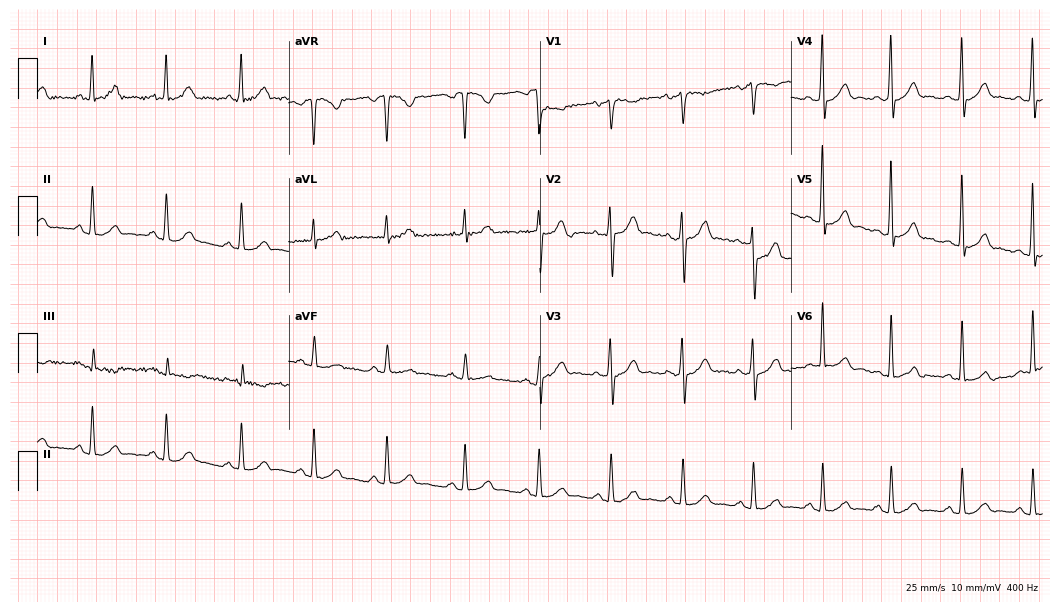
Resting 12-lead electrocardiogram (10.2-second recording at 400 Hz). Patient: a 38-year-old male. None of these six findings is recorded: first-degree AV block, right bundle branch block, left bundle branch block, sinus bradycardia, atrial fibrillation, sinus tachycardia. Only these six findings were labelled.